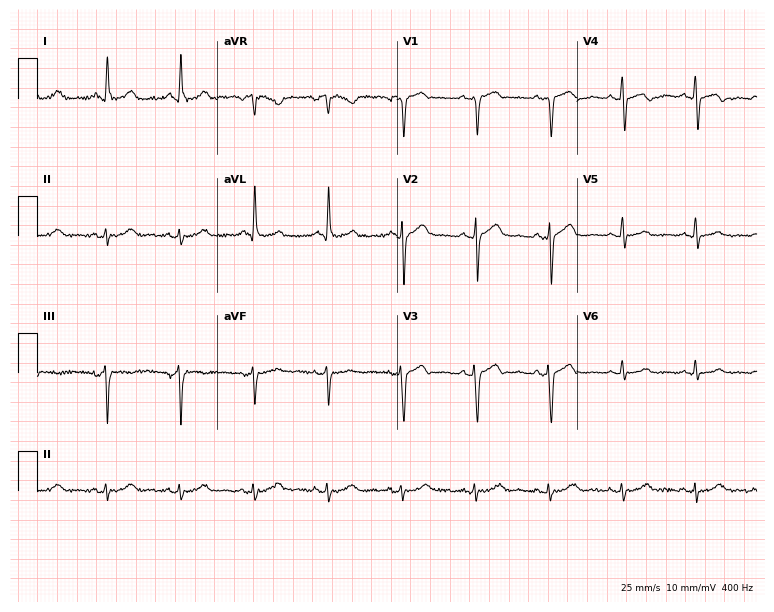
ECG — a 57-year-old woman. Screened for six findings — first-degree AV block, right bundle branch block, left bundle branch block, sinus bradycardia, atrial fibrillation, sinus tachycardia — none is recorded. Findings outside these six are not listed.